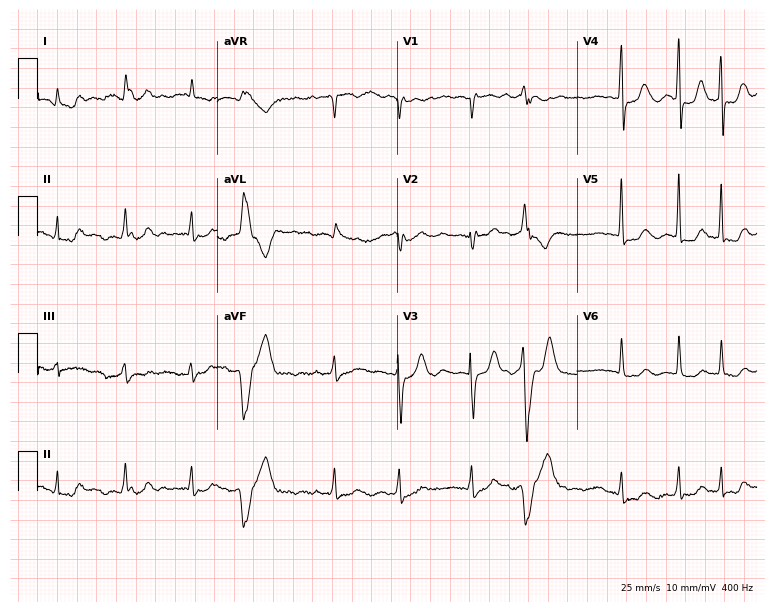
ECG (7.3-second recording at 400 Hz) — an 80-year-old woman. Findings include atrial fibrillation (AF).